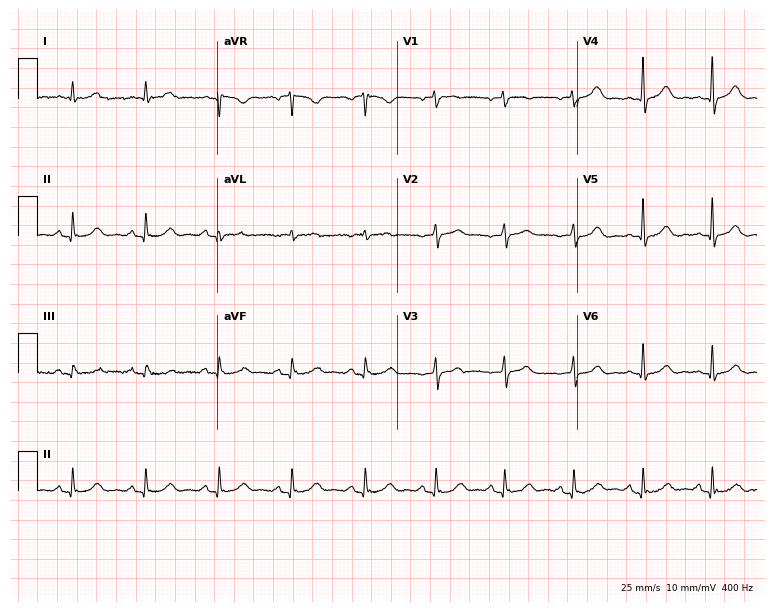
Electrocardiogram, a 66-year-old male. Overall reading on record: normal ECG.